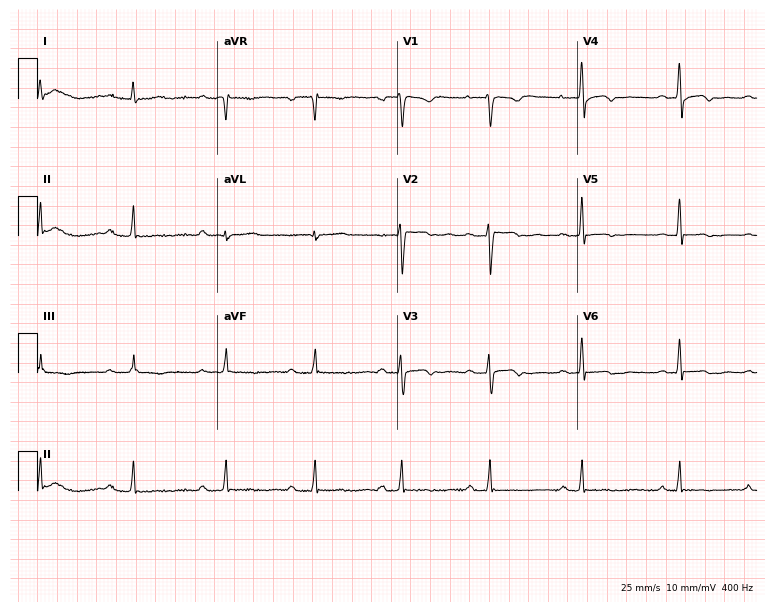
12-lead ECG (7.3-second recording at 400 Hz) from a 26-year-old female. Screened for six findings — first-degree AV block, right bundle branch block, left bundle branch block, sinus bradycardia, atrial fibrillation, sinus tachycardia — none is recorded.